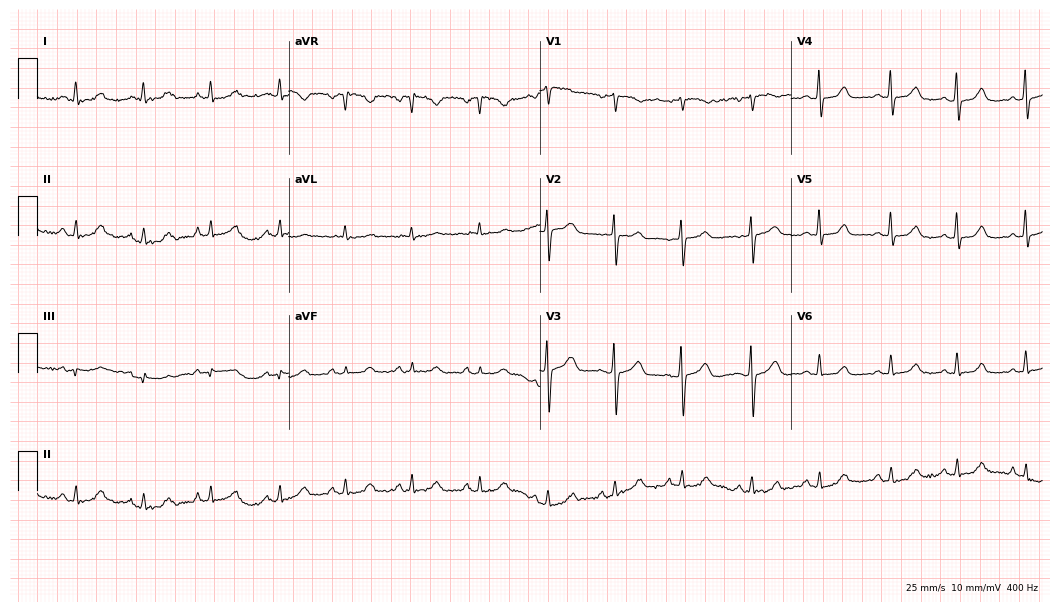
ECG (10.2-second recording at 400 Hz) — a female patient, 71 years old. Screened for six findings — first-degree AV block, right bundle branch block, left bundle branch block, sinus bradycardia, atrial fibrillation, sinus tachycardia — none is recorded.